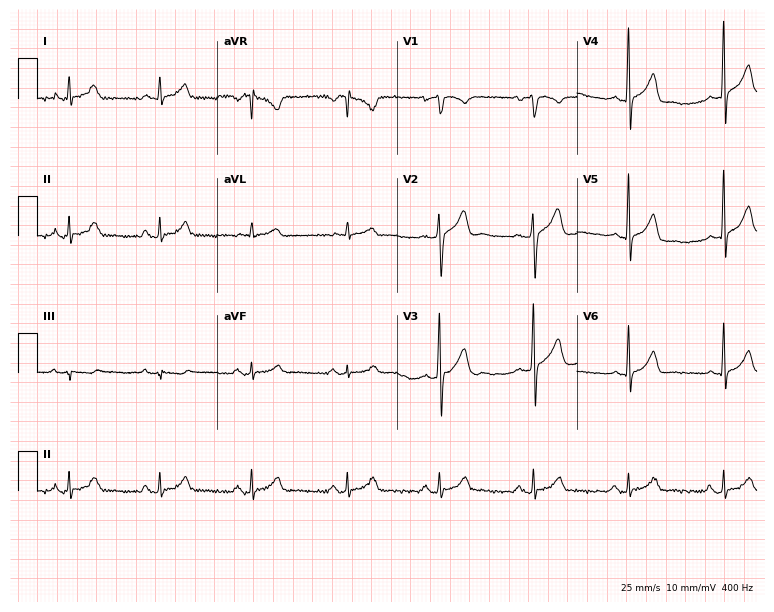
Standard 12-lead ECG recorded from a male patient, 38 years old (7.3-second recording at 400 Hz). None of these six findings is recorded: first-degree AV block, right bundle branch block (RBBB), left bundle branch block (LBBB), sinus bradycardia, atrial fibrillation (AF), sinus tachycardia.